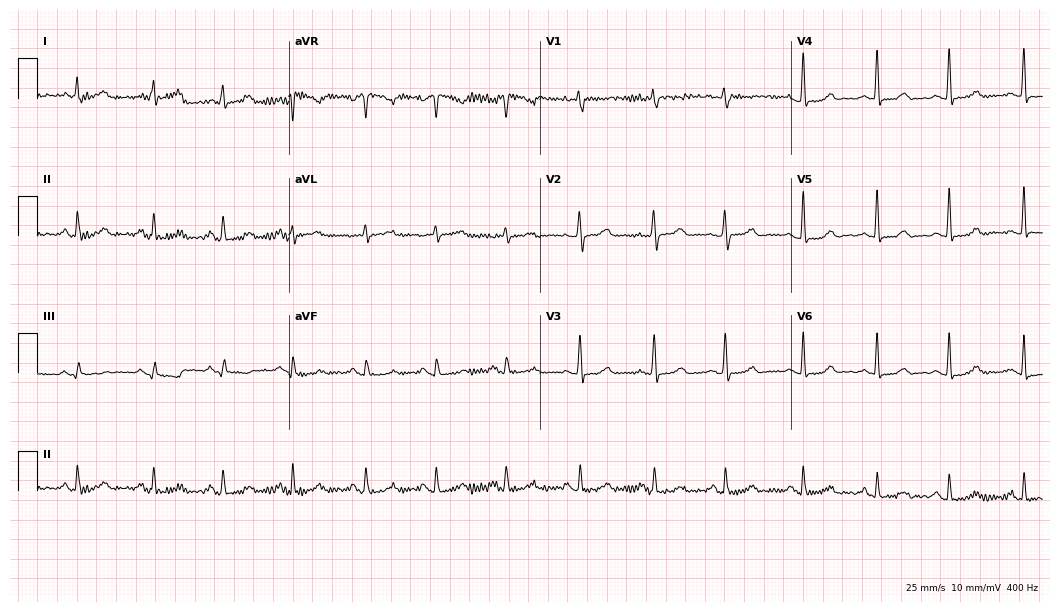
12-lead ECG (10.2-second recording at 400 Hz) from a female patient, 40 years old. Labelled as a normal ECG.